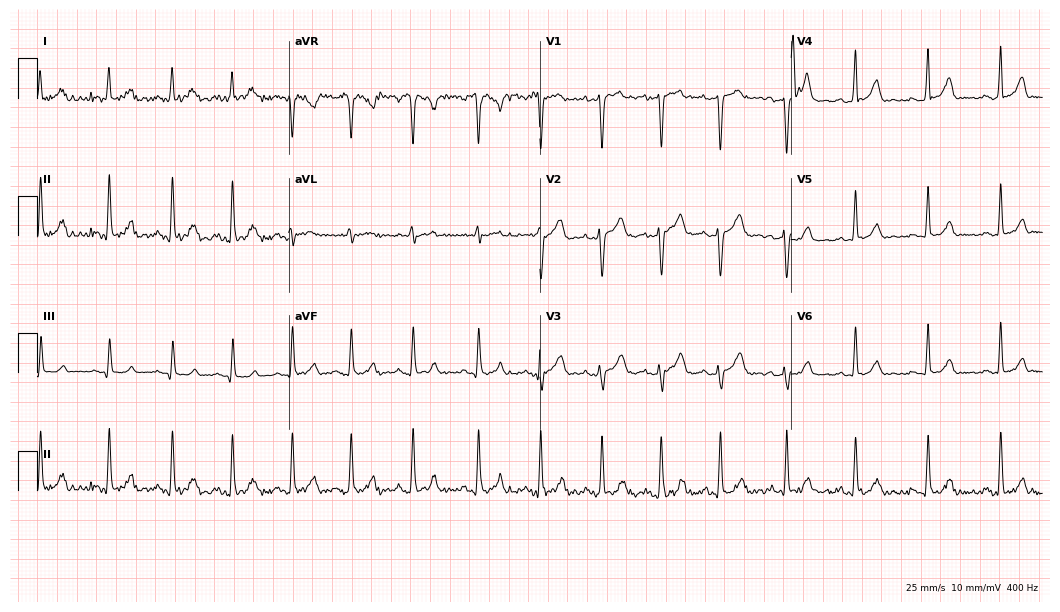
Electrocardiogram, a woman, 29 years old. Overall reading on record: normal ECG.